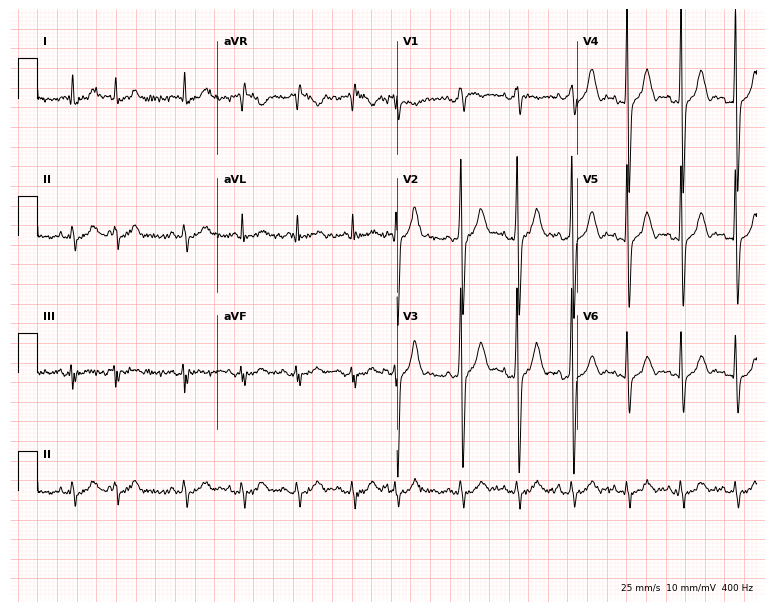
Resting 12-lead electrocardiogram (7.3-second recording at 400 Hz). Patient: a male, 77 years old. None of these six findings is recorded: first-degree AV block, right bundle branch block, left bundle branch block, sinus bradycardia, atrial fibrillation, sinus tachycardia.